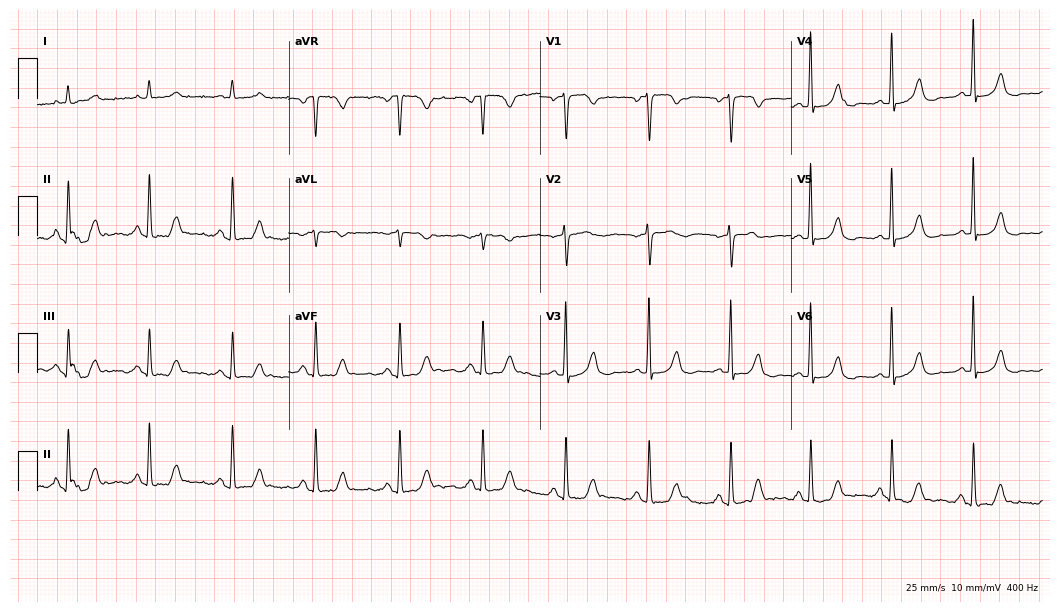
Resting 12-lead electrocardiogram (10.2-second recording at 400 Hz). Patient: a female, 78 years old. Read as a normal ECG.